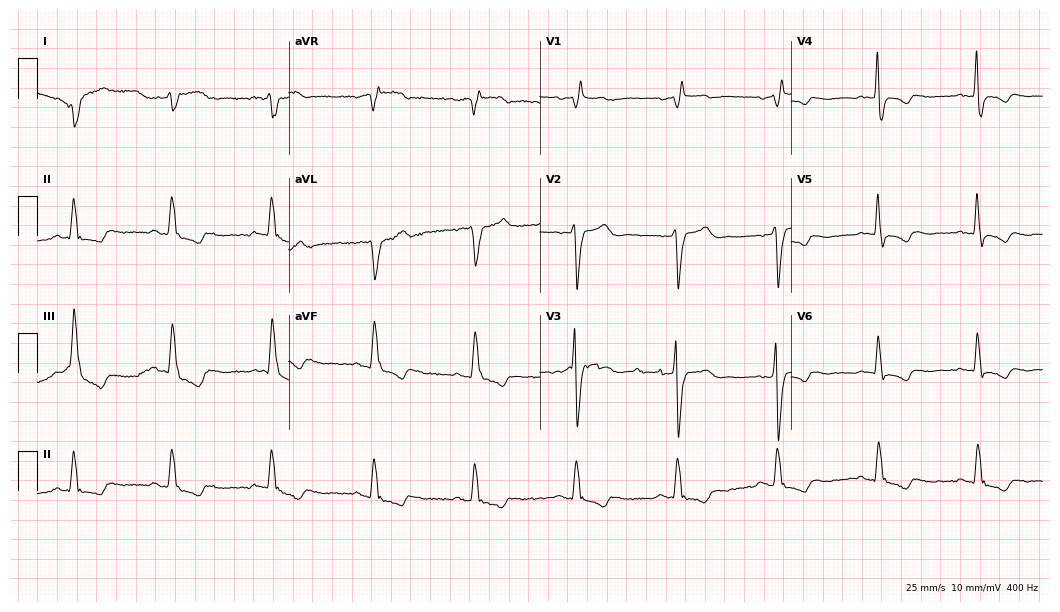
Resting 12-lead electrocardiogram (10.2-second recording at 400 Hz). Patient: a 73-year-old male. The tracing shows right bundle branch block.